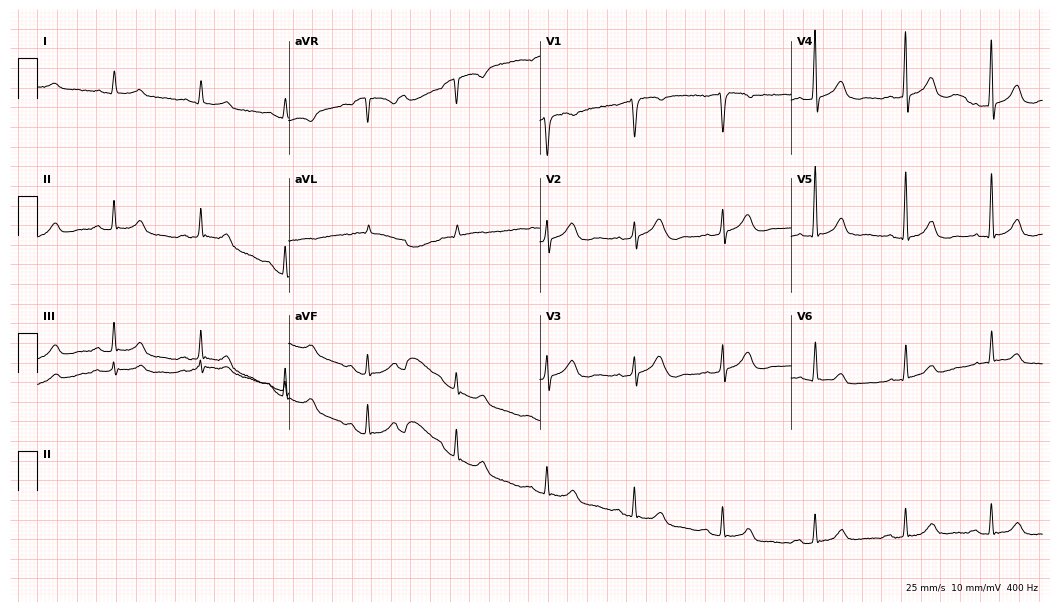
ECG — a 77-year-old man. Labelled as a normal ECG.